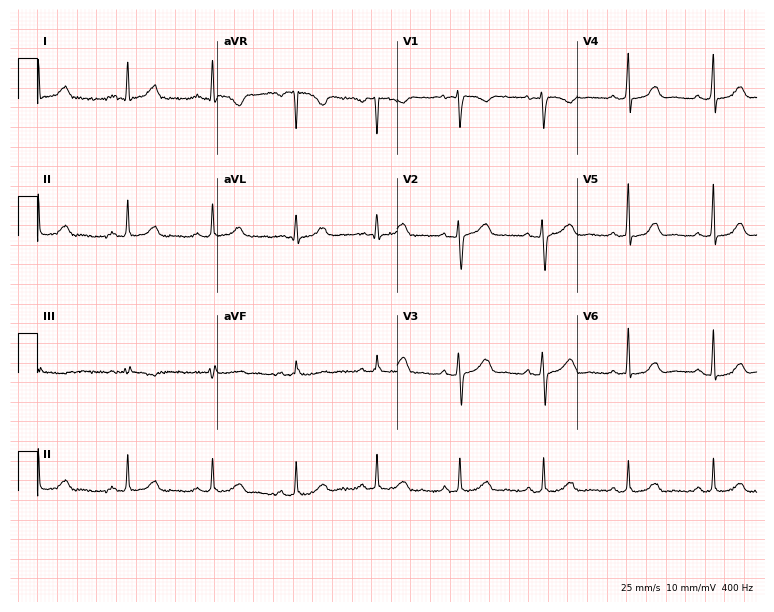
Electrocardiogram, a 45-year-old female patient. Overall reading on record: normal ECG.